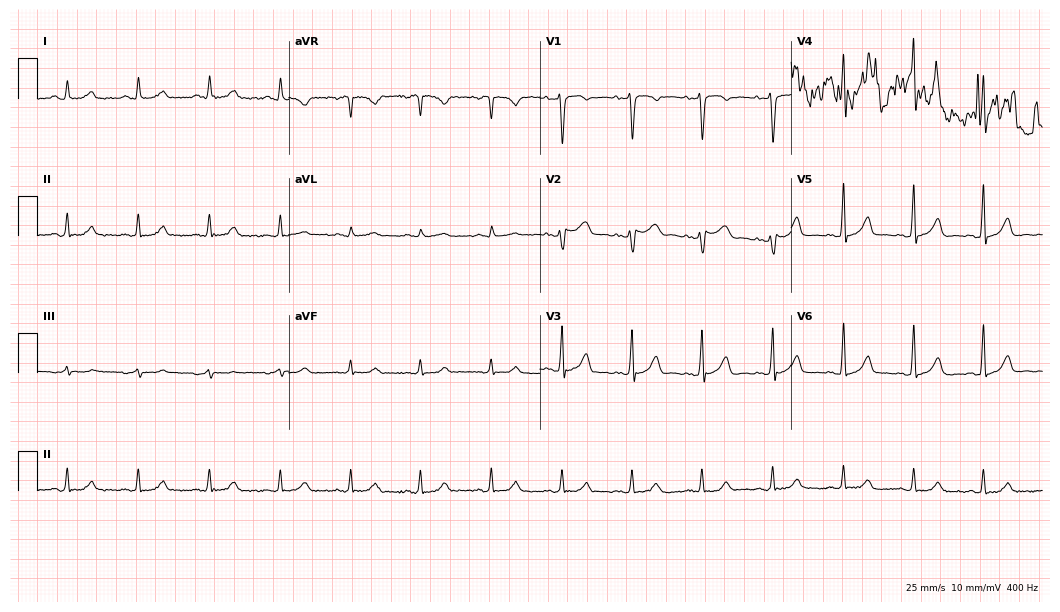
Electrocardiogram, a 53-year-old female. Of the six screened findings (first-degree AV block, right bundle branch block (RBBB), left bundle branch block (LBBB), sinus bradycardia, atrial fibrillation (AF), sinus tachycardia), none is recorded.